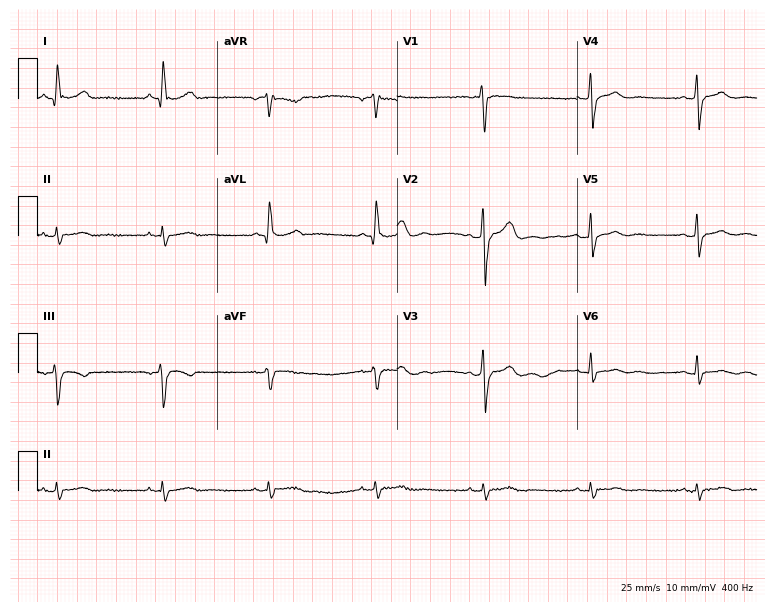
12-lead ECG from a male patient, 52 years old. No first-degree AV block, right bundle branch block, left bundle branch block, sinus bradycardia, atrial fibrillation or sinus tachycardia recorded for this tracing.